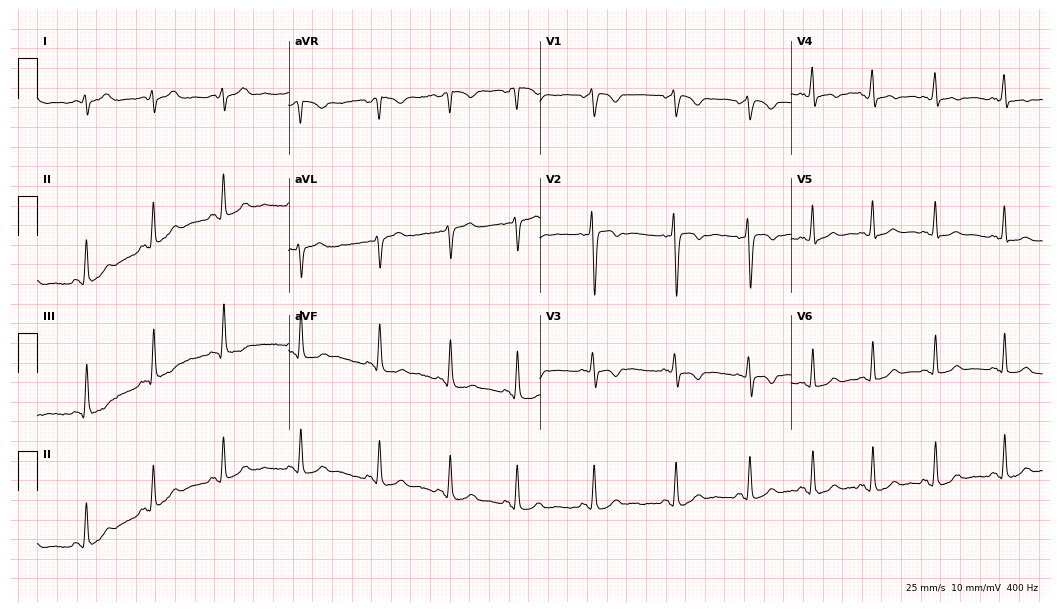
Electrocardiogram, a 21-year-old female. Of the six screened findings (first-degree AV block, right bundle branch block (RBBB), left bundle branch block (LBBB), sinus bradycardia, atrial fibrillation (AF), sinus tachycardia), none is recorded. Other findings, if any, are not listed.